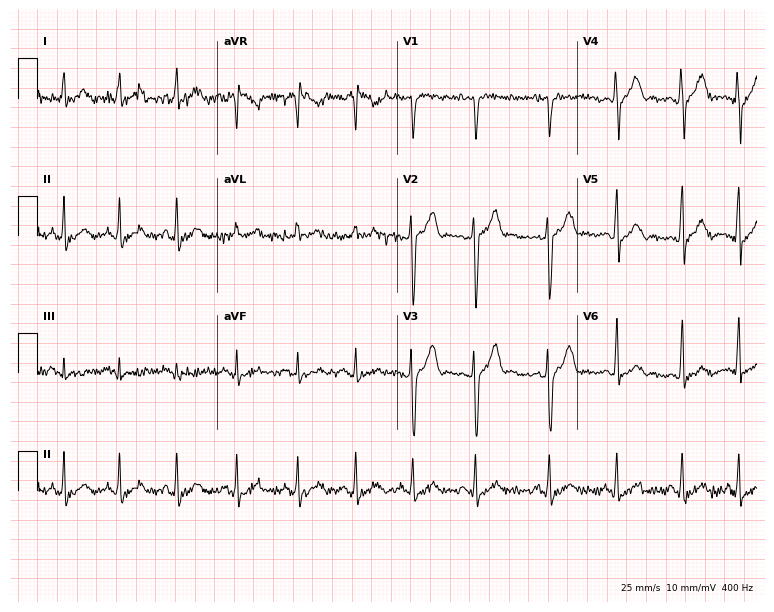
ECG (7.3-second recording at 400 Hz) — a man, 32 years old. Screened for six findings — first-degree AV block, right bundle branch block, left bundle branch block, sinus bradycardia, atrial fibrillation, sinus tachycardia — none is recorded.